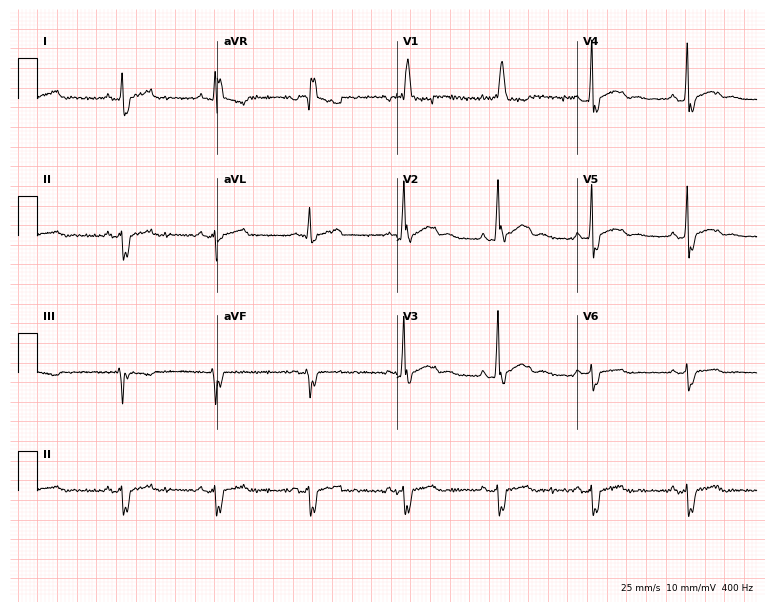
Standard 12-lead ECG recorded from a male patient, 40 years old (7.3-second recording at 400 Hz). The tracing shows right bundle branch block (RBBB).